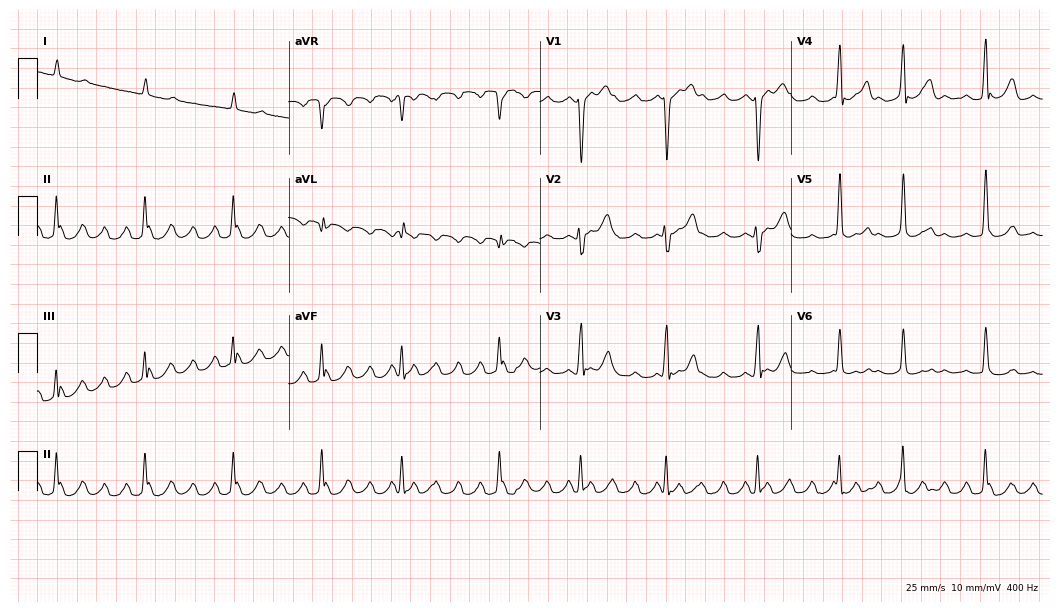
12-lead ECG from a male patient, 58 years old (10.2-second recording at 400 Hz). Shows right bundle branch block (RBBB).